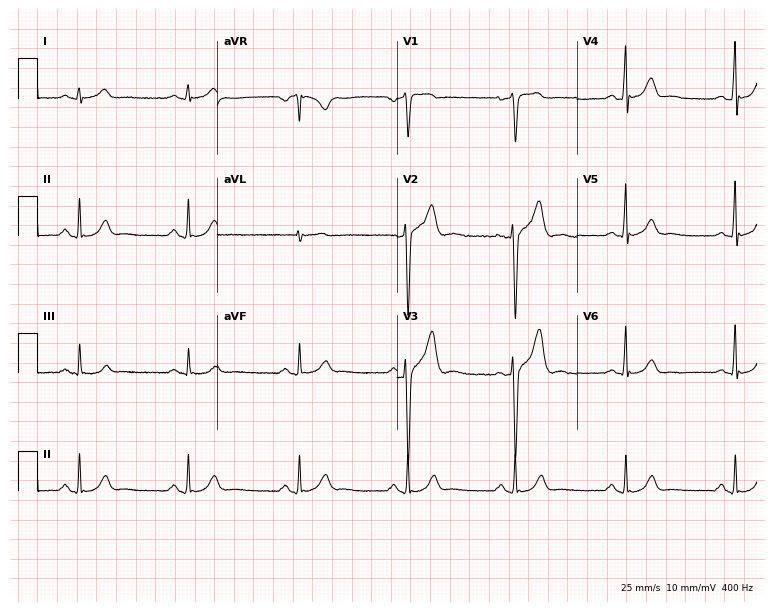
Electrocardiogram, a 36-year-old man. Overall reading on record: normal ECG.